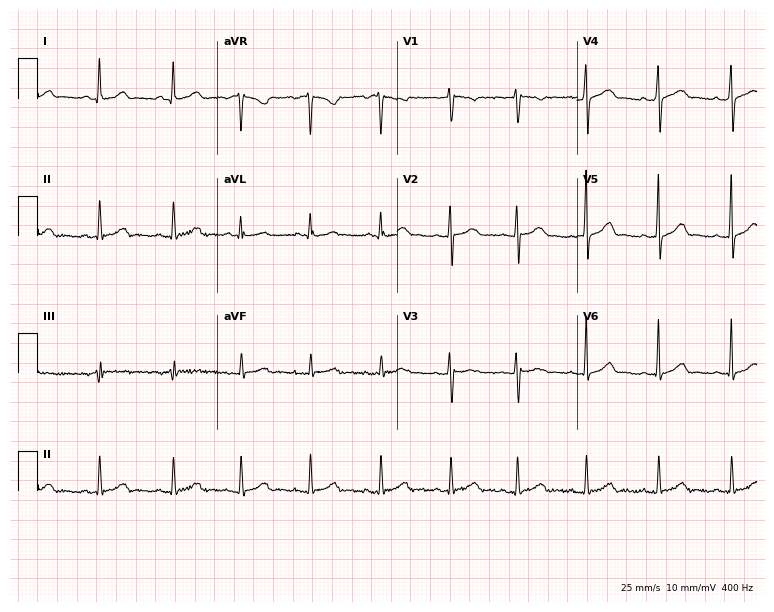
Electrocardiogram, a female, 18 years old. Overall reading on record: normal ECG.